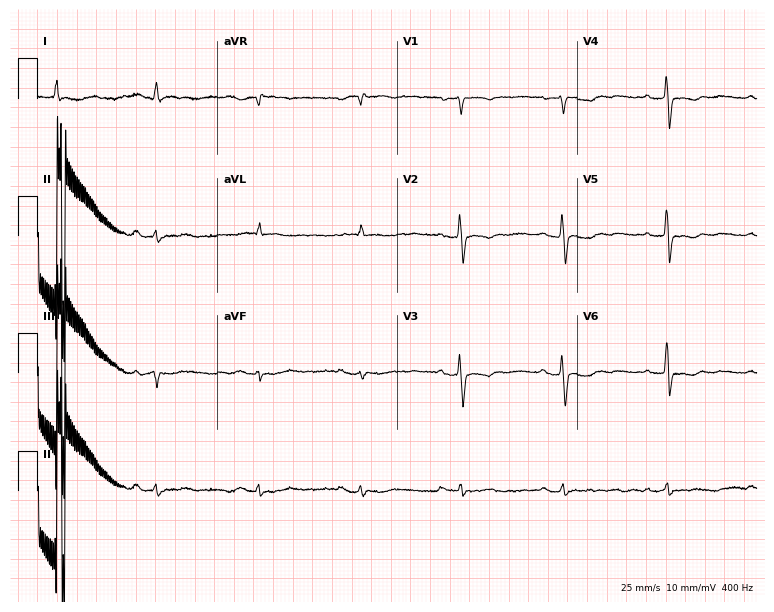
12-lead ECG from a 65-year-old female patient. Screened for six findings — first-degree AV block, right bundle branch block (RBBB), left bundle branch block (LBBB), sinus bradycardia, atrial fibrillation (AF), sinus tachycardia — none is recorded. Other findings, if any, are not listed.